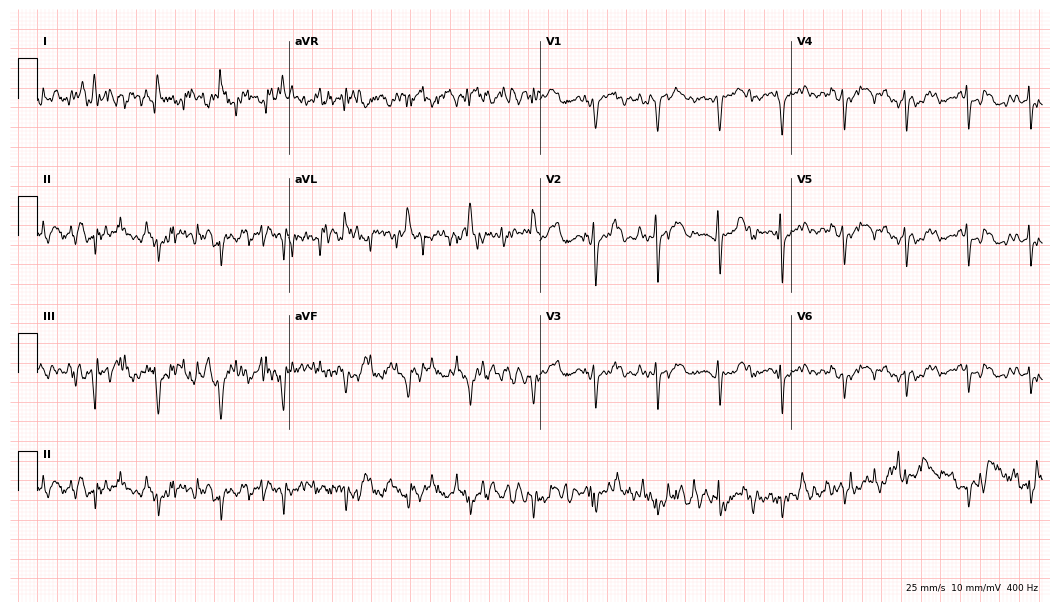
Resting 12-lead electrocardiogram (10.2-second recording at 400 Hz). Patient: an 82-year-old female. None of these six findings is recorded: first-degree AV block, right bundle branch block, left bundle branch block, sinus bradycardia, atrial fibrillation, sinus tachycardia.